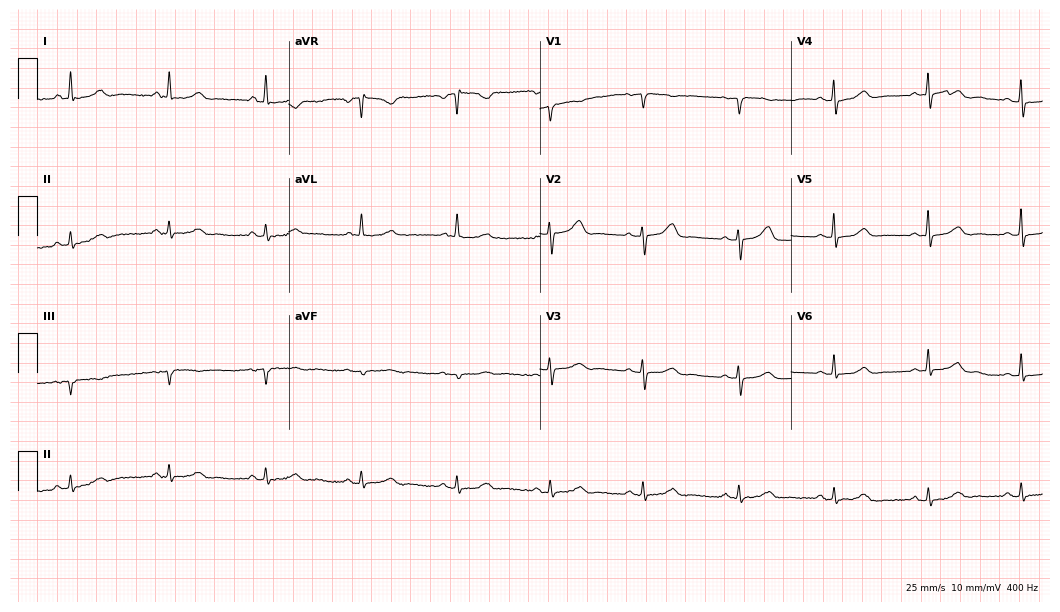
12-lead ECG from a woman, 71 years old. Labelled as a normal ECG.